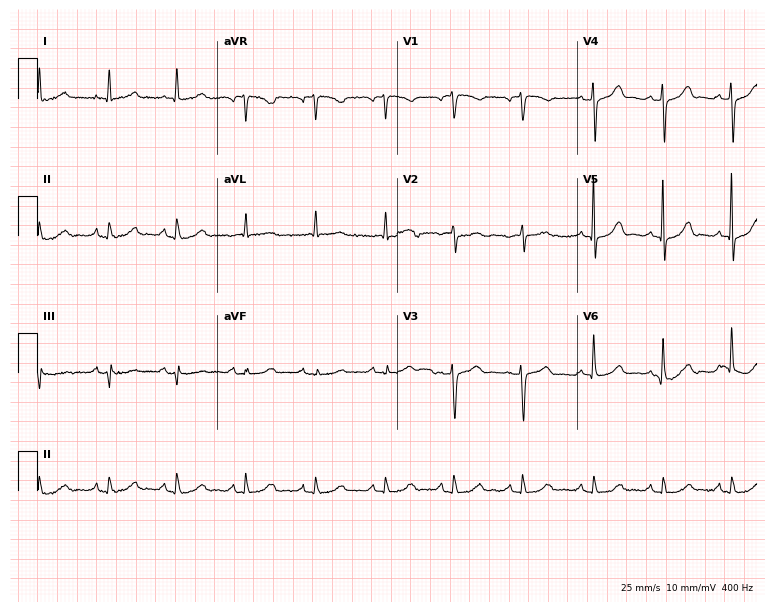
ECG — a female patient, 84 years old. Labelled as a normal ECG.